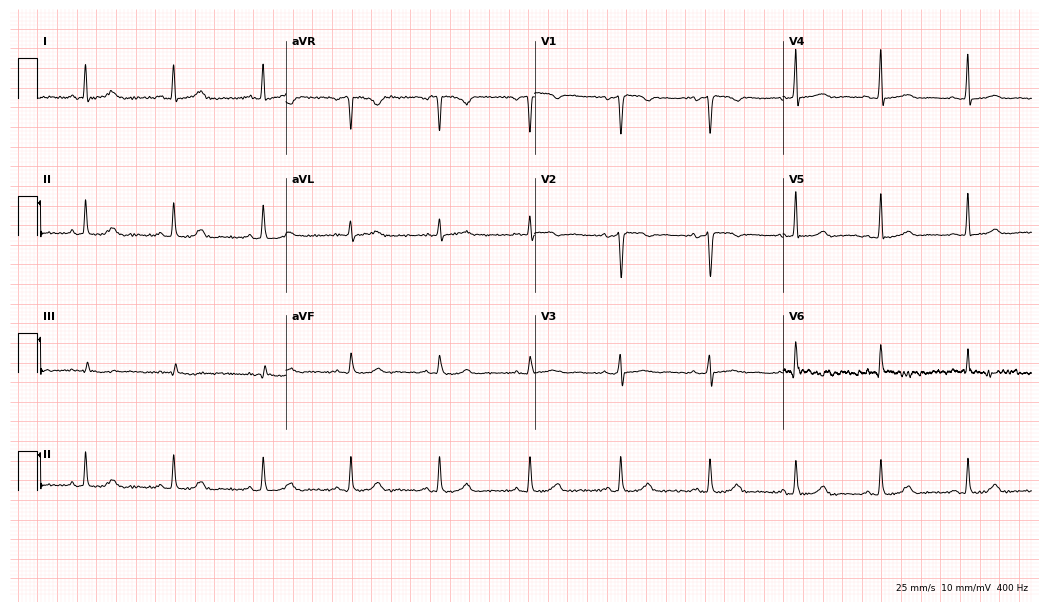
12-lead ECG (10.1-second recording at 400 Hz) from a 43-year-old woman. Screened for six findings — first-degree AV block, right bundle branch block, left bundle branch block, sinus bradycardia, atrial fibrillation, sinus tachycardia — none is recorded.